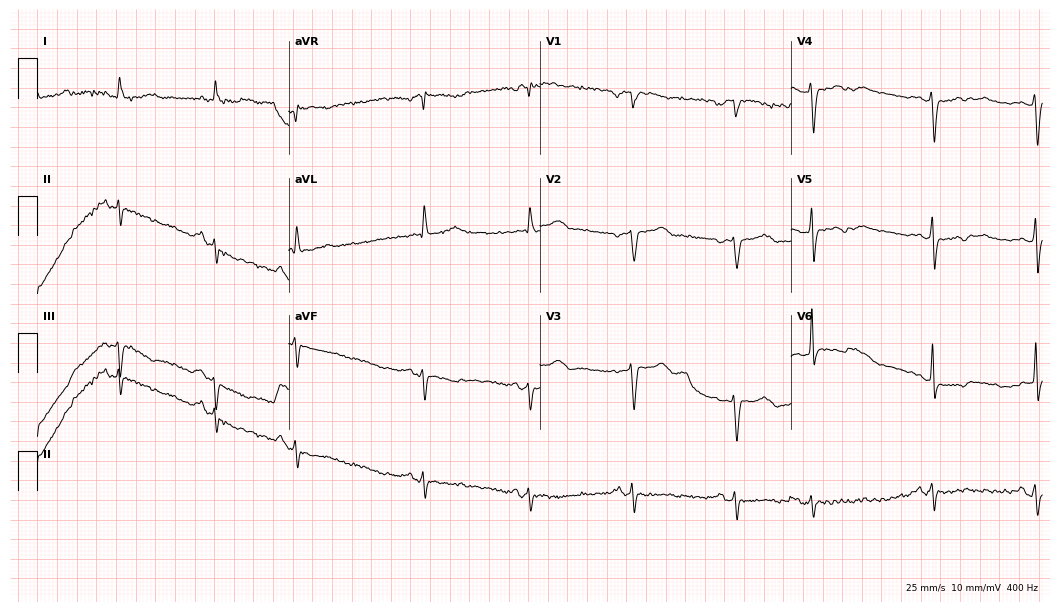
ECG — a 70-year-old female patient. Screened for six findings — first-degree AV block, right bundle branch block (RBBB), left bundle branch block (LBBB), sinus bradycardia, atrial fibrillation (AF), sinus tachycardia — none is recorded.